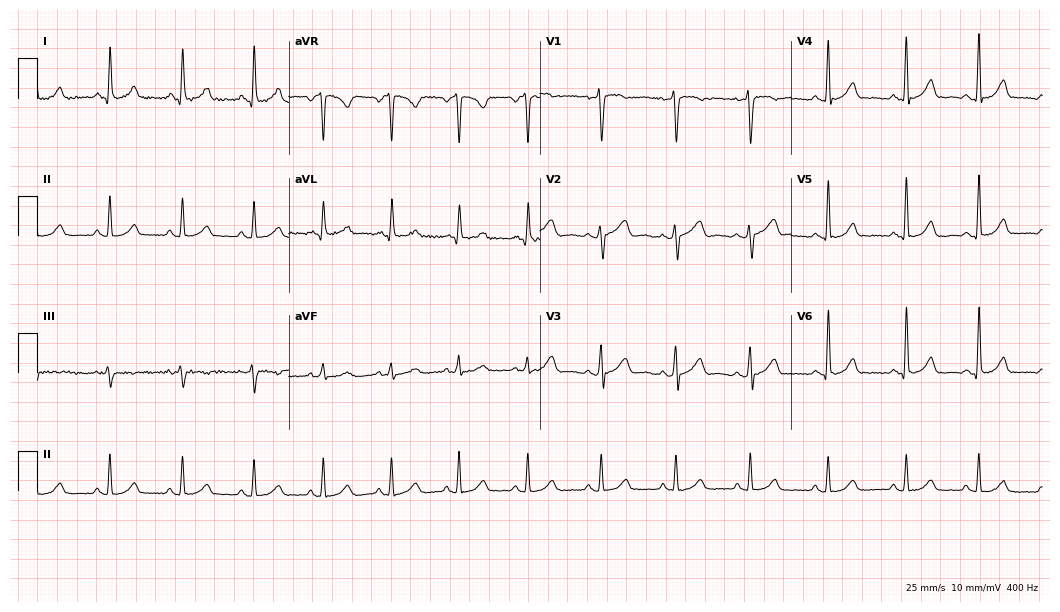
Standard 12-lead ECG recorded from a female, 44 years old. Read as a normal ECG.